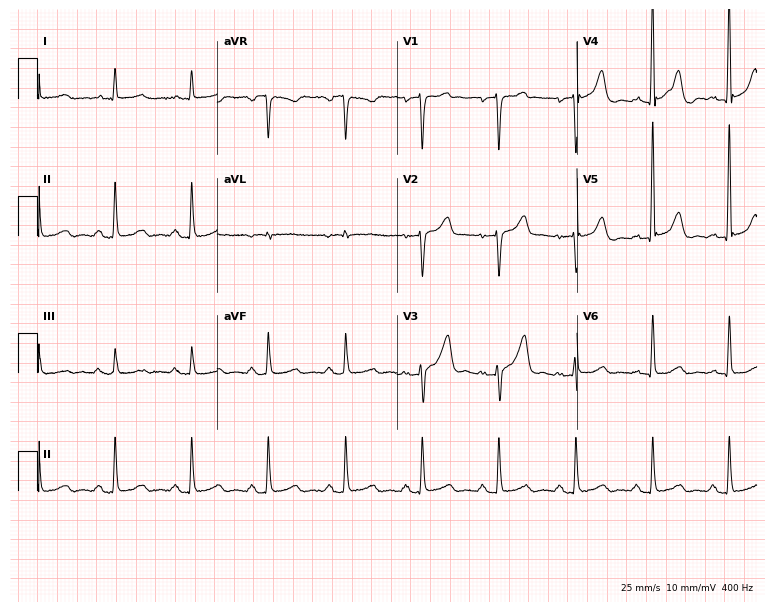
Standard 12-lead ECG recorded from a male, 71 years old. None of these six findings is recorded: first-degree AV block, right bundle branch block, left bundle branch block, sinus bradycardia, atrial fibrillation, sinus tachycardia. Other findings, if any, are not listed.